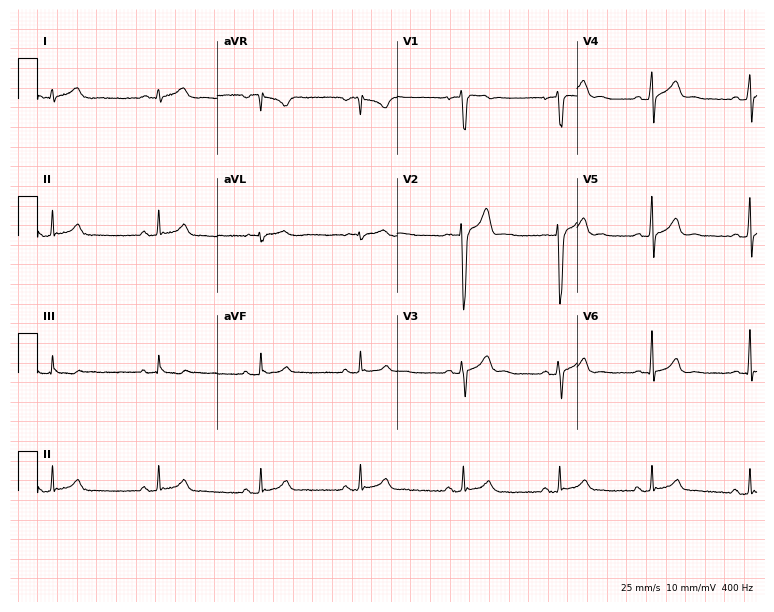
12-lead ECG from a male patient, 27 years old. Recorded interpretation: within normal limits.